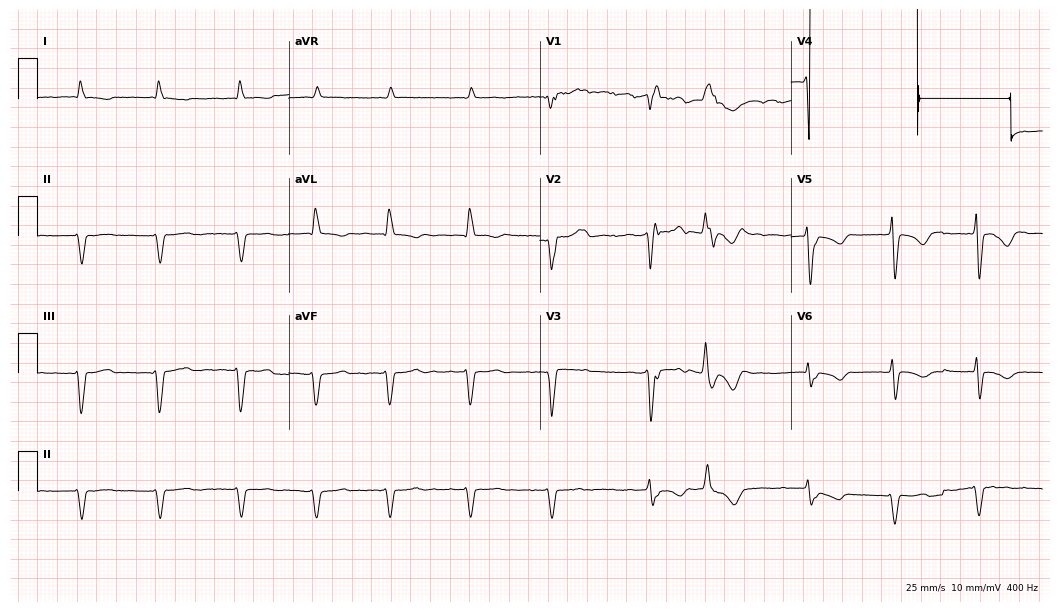
Resting 12-lead electrocardiogram. Patient: a woman, 77 years old. The tracing shows right bundle branch block (RBBB), atrial fibrillation (AF).